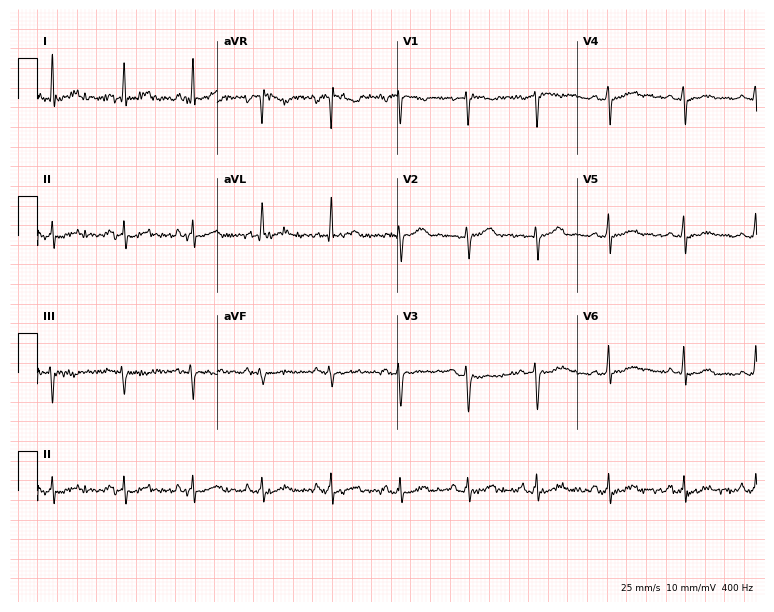
Electrocardiogram (7.3-second recording at 400 Hz), a male, 46 years old. Of the six screened findings (first-degree AV block, right bundle branch block (RBBB), left bundle branch block (LBBB), sinus bradycardia, atrial fibrillation (AF), sinus tachycardia), none is recorded.